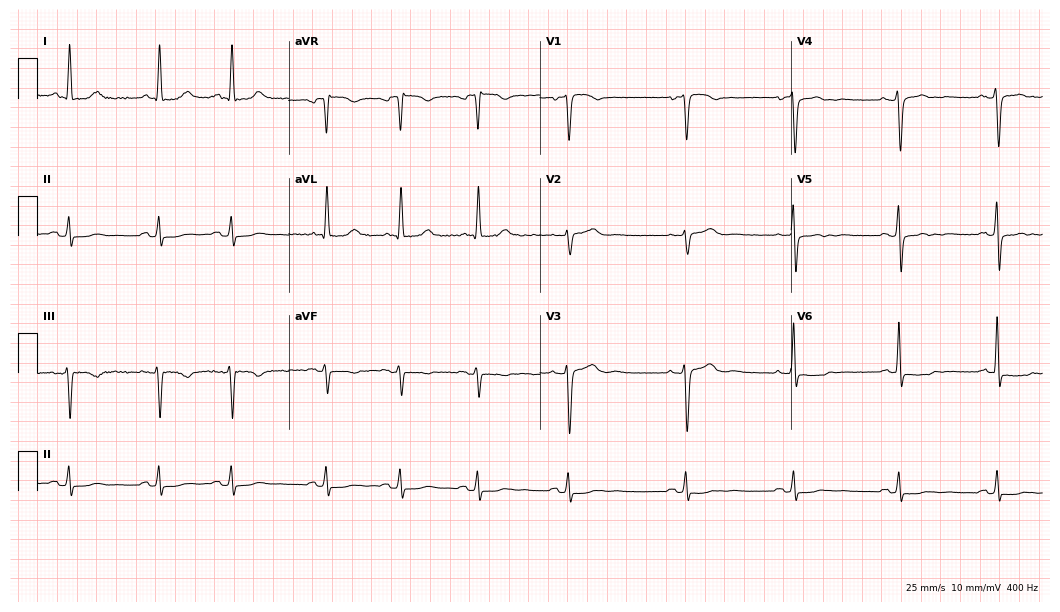
Resting 12-lead electrocardiogram (10.2-second recording at 400 Hz). Patient: a 68-year-old female. None of these six findings is recorded: first-degree AV block, right bundle branch block, left bundle branch block, sinus bradycardia, atrial fibrillation, sinus tachycardia. Other findings, if any, are not listed.